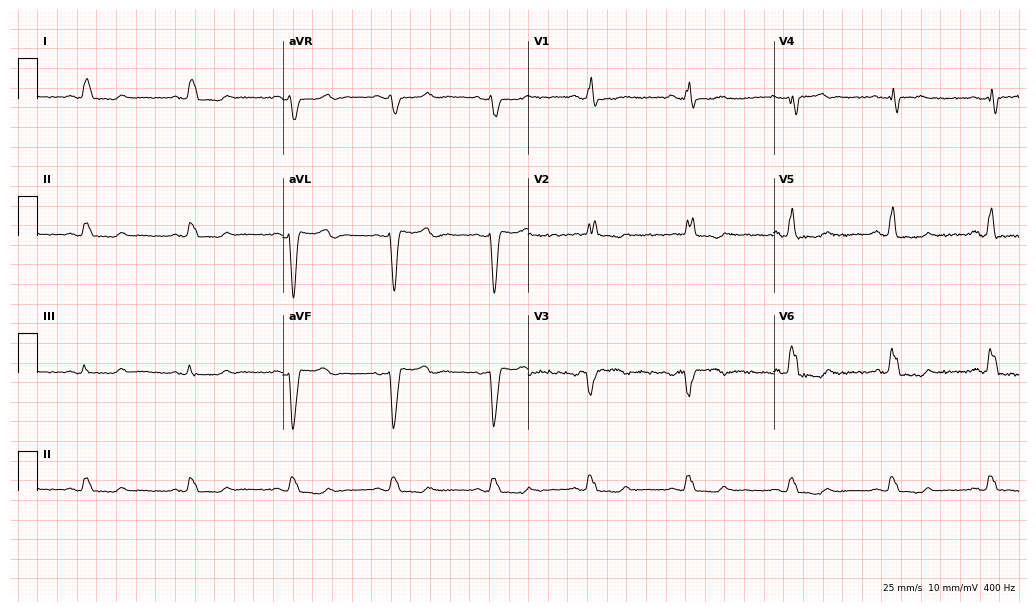
12-lead ECG from a woman, 61 years old. Shows left bundle branch block (LBBB).